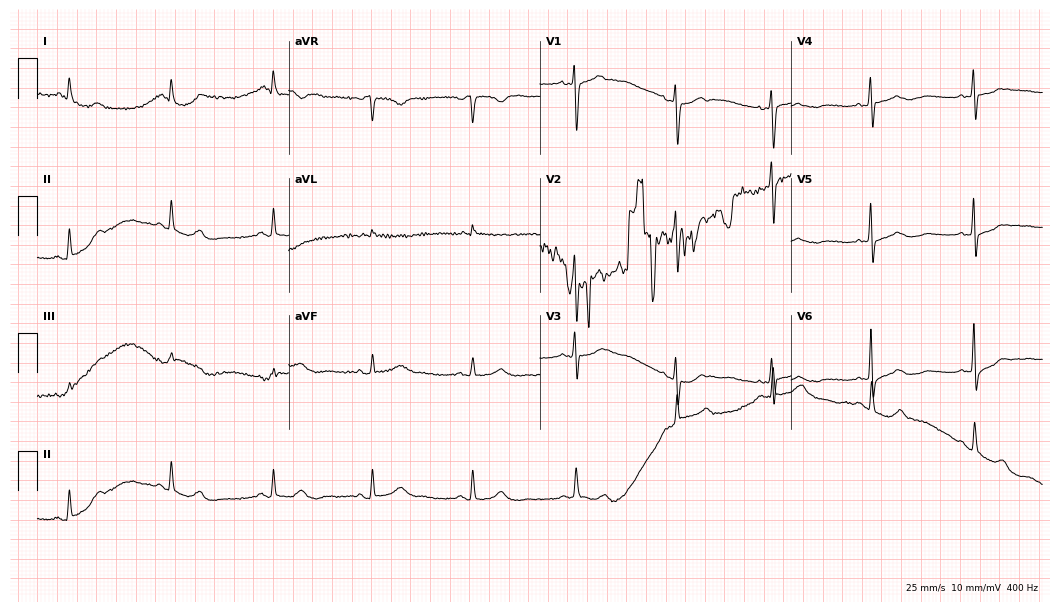
12-lead ECG (10.2-second recording at 400 Hz) from a 78-year-old female. Labelled as a normal ECG.